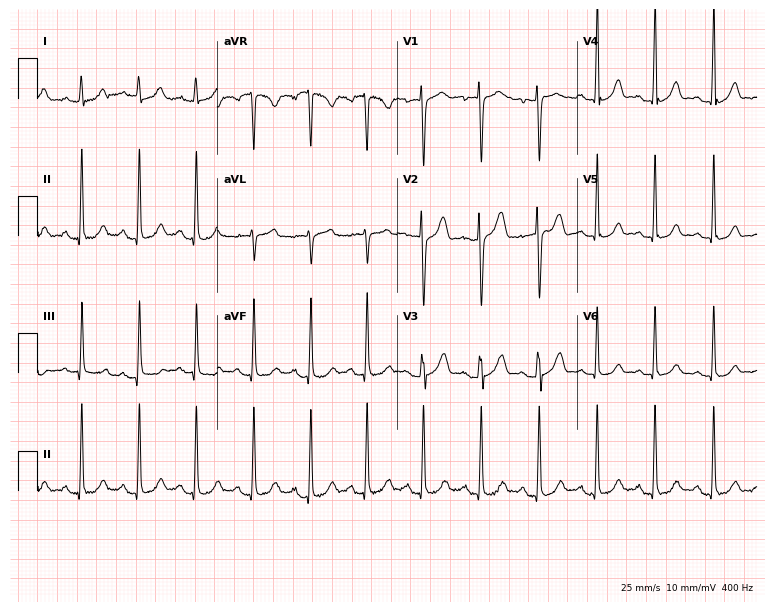
12-lead ECG from an 18-year-old female. Findings include sinus tachycardia (a sinus rate of 100 beats per minute or more).